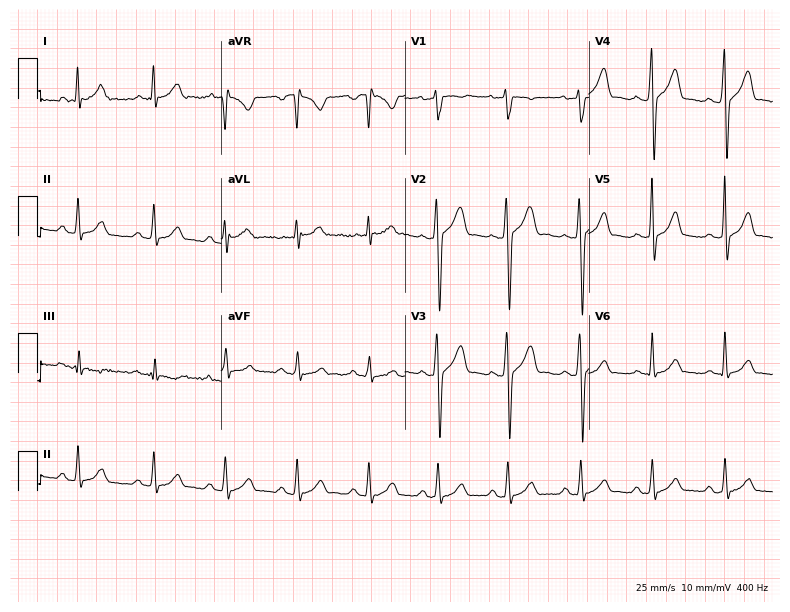
Standard 12-lead ECG recorded from a man, 35 years old. Read as a normal ECG.